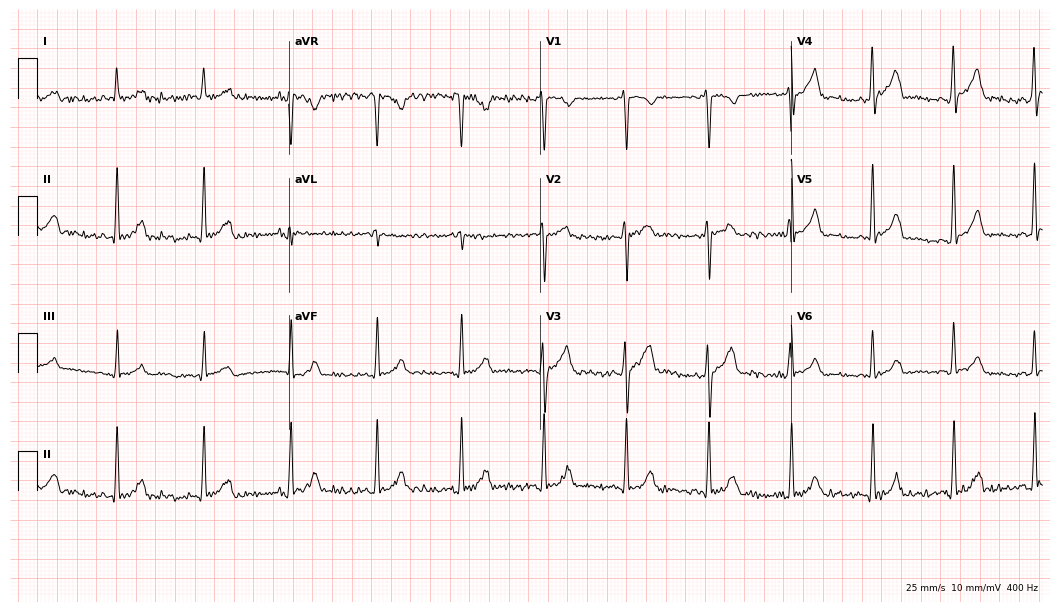
ECG — a 53-year-old man. Screened for six findings — first-degree AV block, right bundle branch block (RBBB), left bundle branch block (LBBB), sinus bradycardia, atrial fibrillation (AF), sinus tachycardia — none is recorded. Other findings, if any, are not listed.